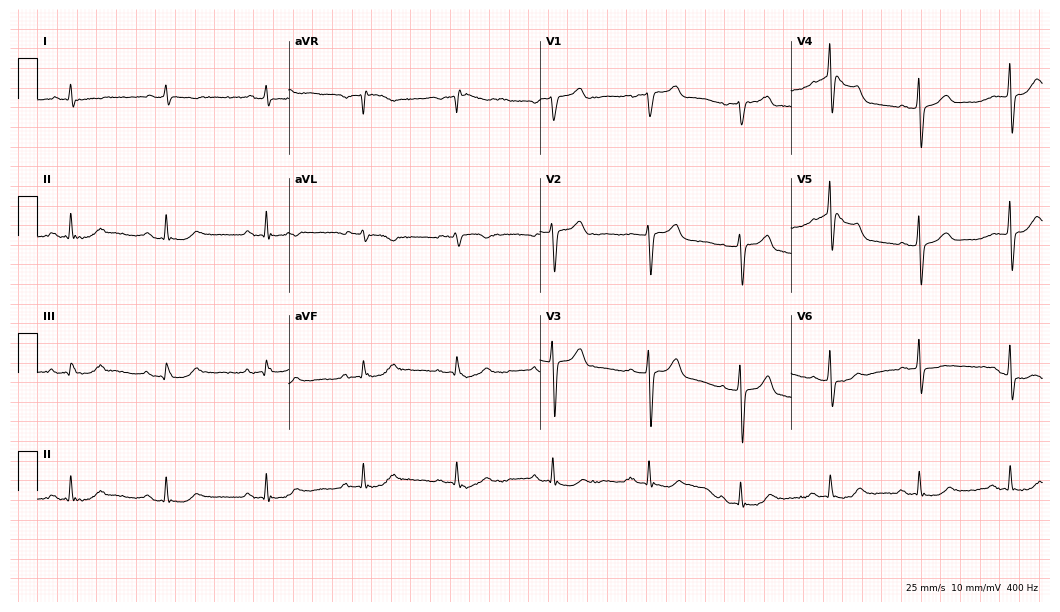
12-lead ECG from an 80-year-old male. No first-degree AV block, right bundle branch block (RBBB), left bundle branch block (LBBB), sinus bradycardia, atrial fibrillation (AF) or sinus tachycardia recorded for this tracing.